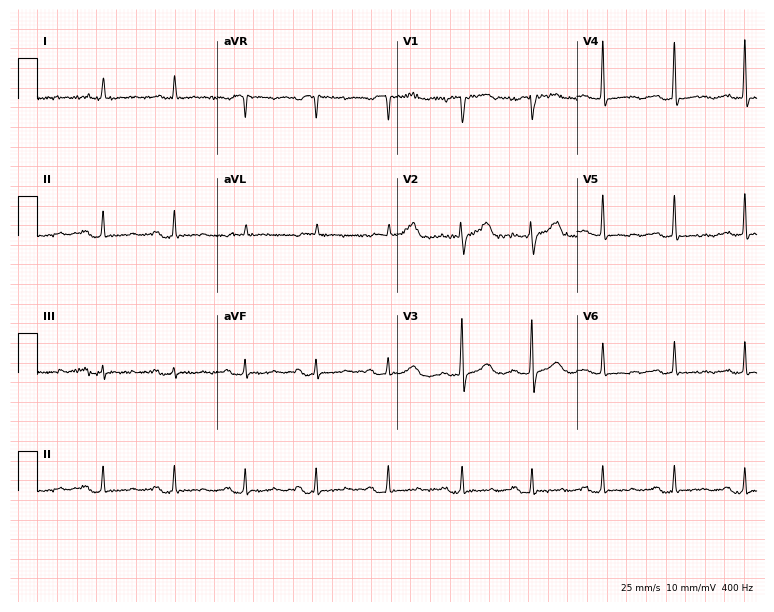
Electrocardiogram, an 88-year-old male. Of the six screened findings (first-degree AV block, right bundle branch block (RBBB), left bundle branch block (LBBB), sinus bradycardia, atrial fibrillation (AF), sinus tachycardia), none is recorded.